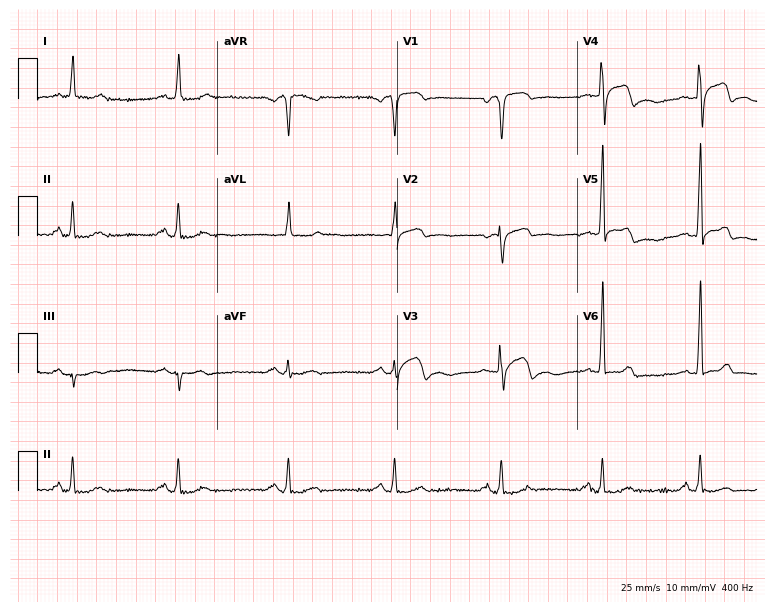
Standard 12-lead ECG recorded from a 68-year-old male (7.3-second recording at 400 Hz). None of these six findings is recorded: first-degree AV block, right bundle branch block, left bundle branch block, sinus bradycardia, atrial fibrillation, sinus tachycardia. Findings outside these six are not listed.